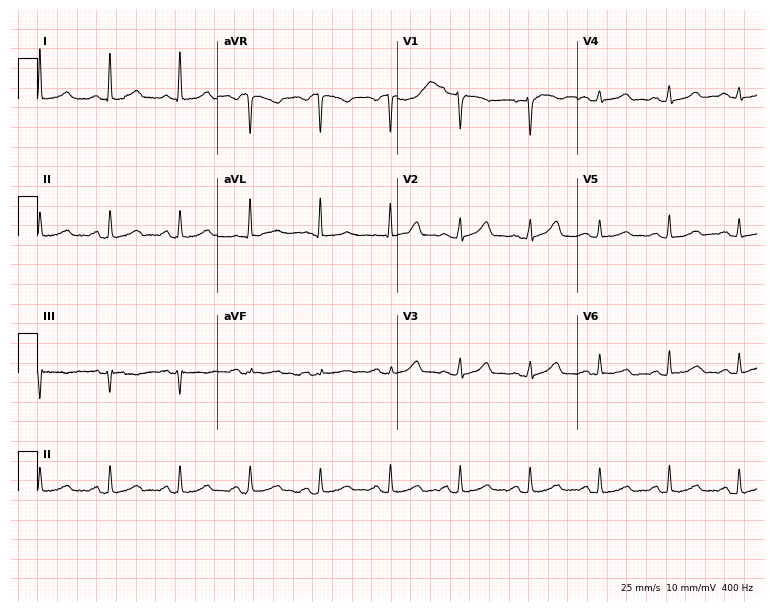
Electrocardiogram, a 58-year-old female. Of the six screened findings (first-degree AV block, right bundle branch block (RBBB), left bundle branch block (LBBB), sinus bradycardia, atrial fibrillation (AF), sinus tachycardia), none is recorded. Other findings, if any, are not listed.